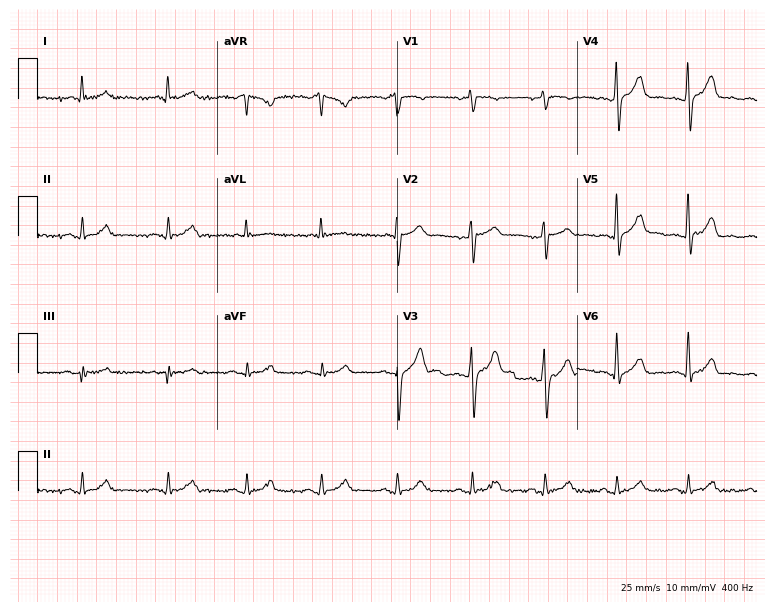
12-lead ECG (7.3-second recording at 400 Hz) from a male, 31 years old. Screened for six findings — first-degree AV block, right bundle branch block, left bundle branch block, sinus bradycardia, atrial fibrillation, sinus tachycardia — none is recorded.